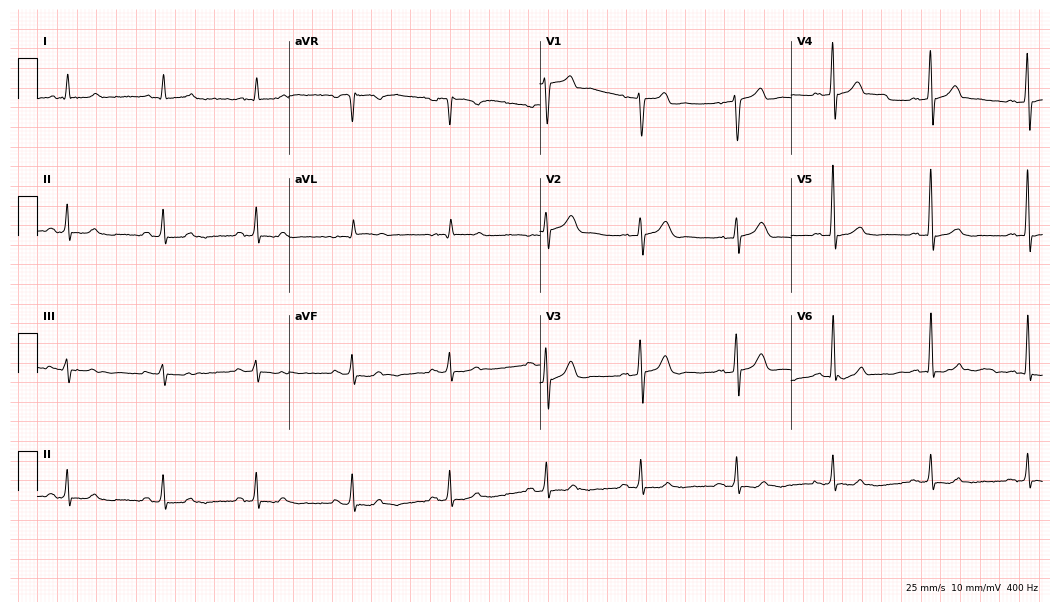
ECG — a male patient, 81 years old. Labelled as a normal ECG.